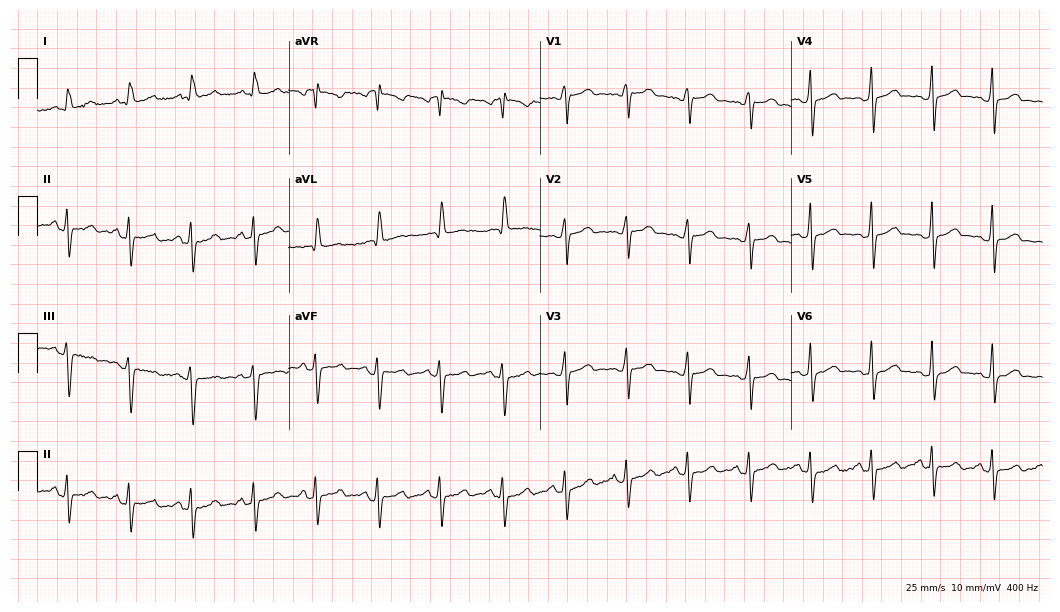
ECG (10.2-second recording at 400 Hz) — a male patient, 40 years old. Screened for six findings — first-degree AV block, right bundle branch block, left bundle branch block, sinus bradycardia, atrial fibrillation, sinus tachycardia — none is recorded.